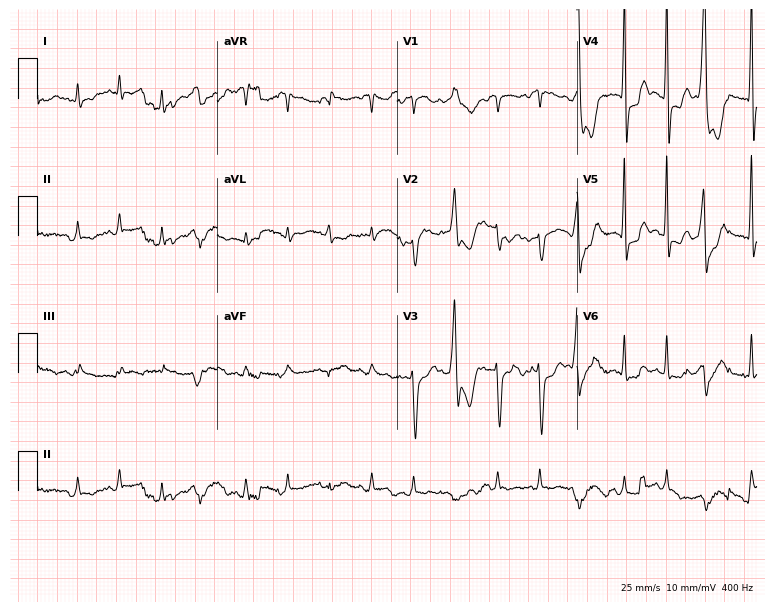
12-lead ECG from a male patient, 55 years old (7.3-second recording at 400 Hz). No first-degree AV block, right bundle branch block, left bundle branch block, sinus bradycardia, atrial fibrillation or sinus tachycardia recorded for this tracing.